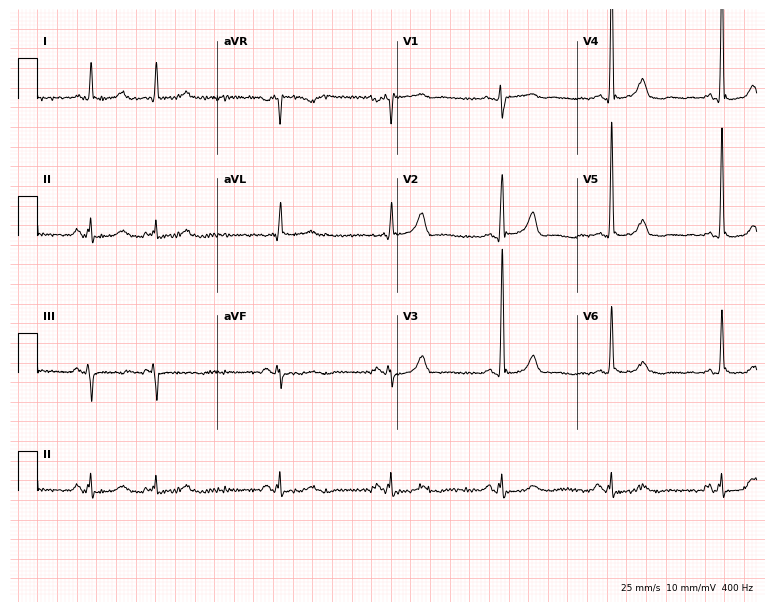
ECG — a female patient, 82 years old. Screened for six findings — first-degree AV block, right bundle branch block (RBBB), left bundle branch block (LBBB), sinus bradycardia, atrial fibrillation (AF), sinus tachycardia — none is recorded. Findings outside these six are not listed.